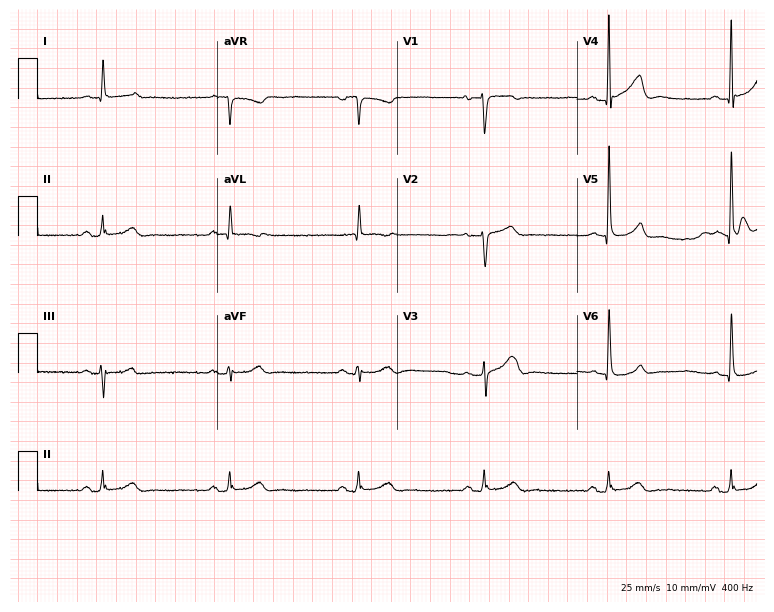
12-lead ECG from an 84-year-old female. Findings include sinus bradycardia (a sinus rate of 50 beats per minute or less).